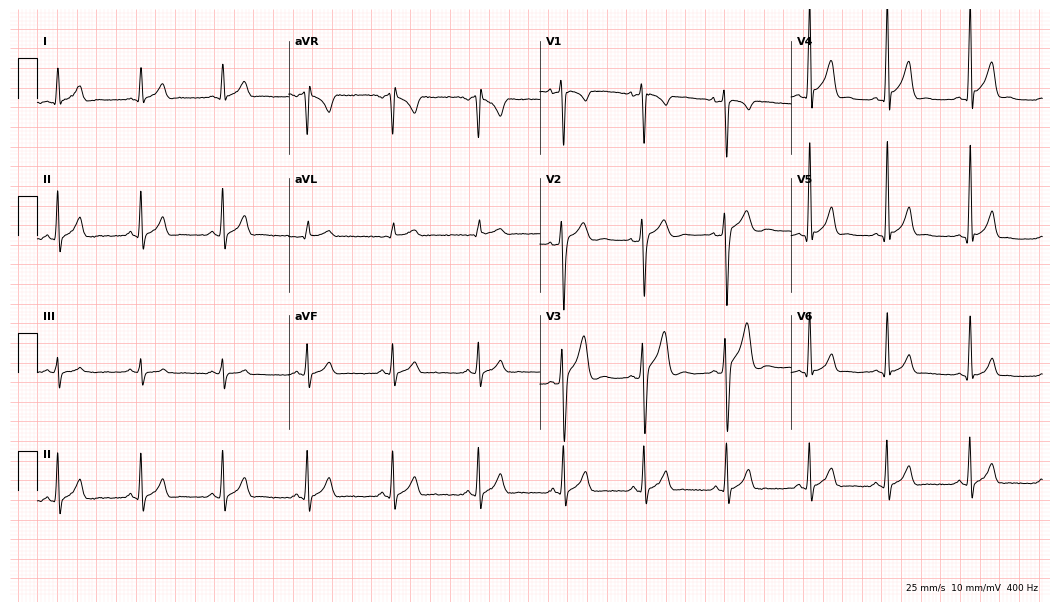
Standard 12-lead ECG recorded from a man, 25 years old. Read as a normal ECG.